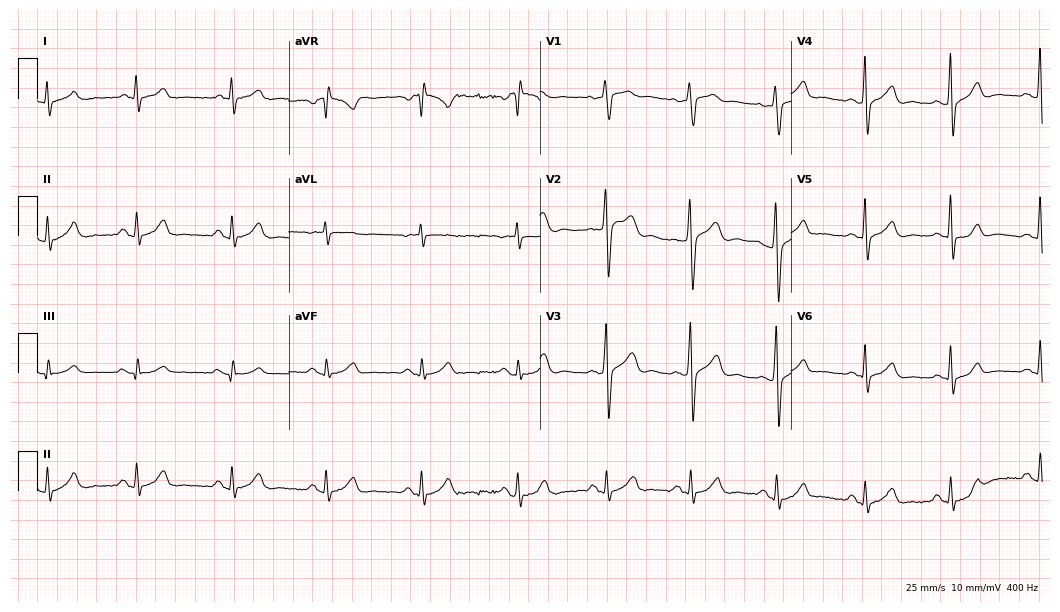
Resting 12-lead electrocardiogram. Patient: a 30-year-old male. None of these six findings is recorded: first-degree AV block, right bundle branch block (RBBB), left bundle branch block (LBBB), sinus bradycardia, atrial fibrillation (AF), sinus tachycardia.